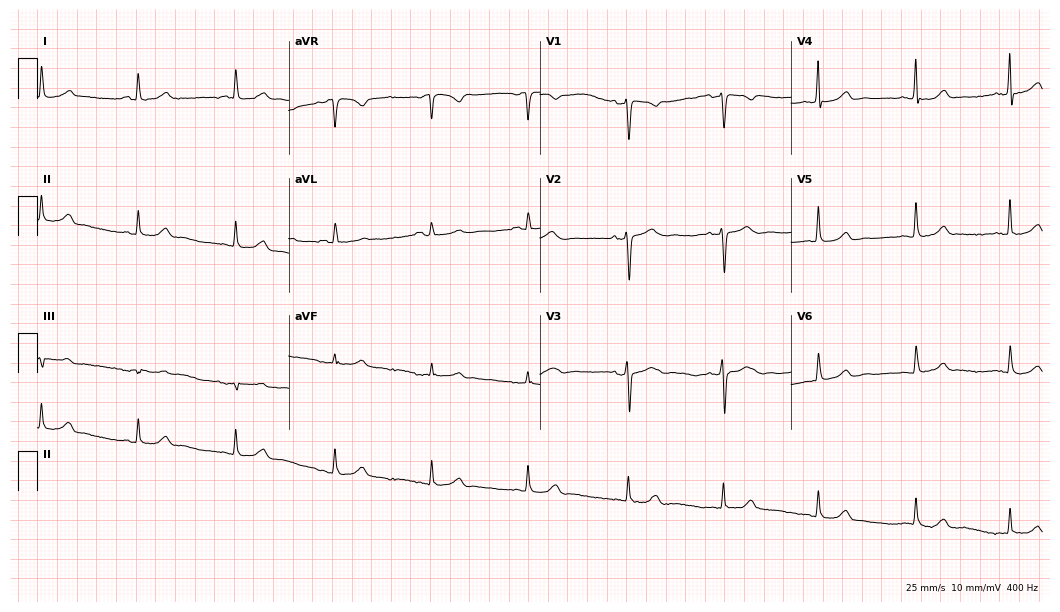
ECG (10.2-second recording at 400 Hz) — a female patient, 52 years old. Labelled as a normal ECG.